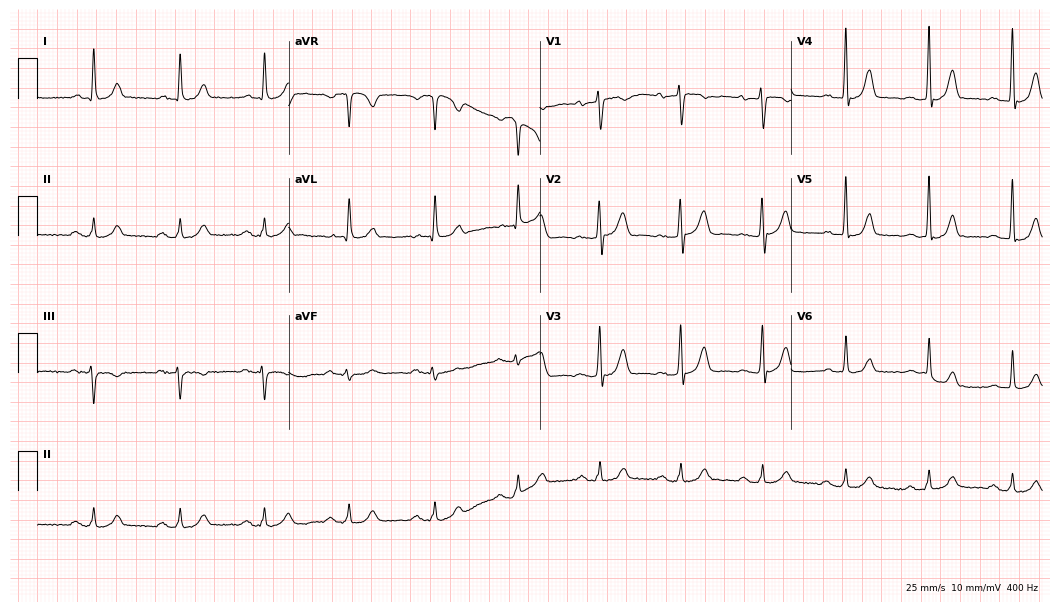
Standard 12-lead ECG recorded from an 81-year-old male (10.2-second recording at 400 Hz). Read as a normal ECG.